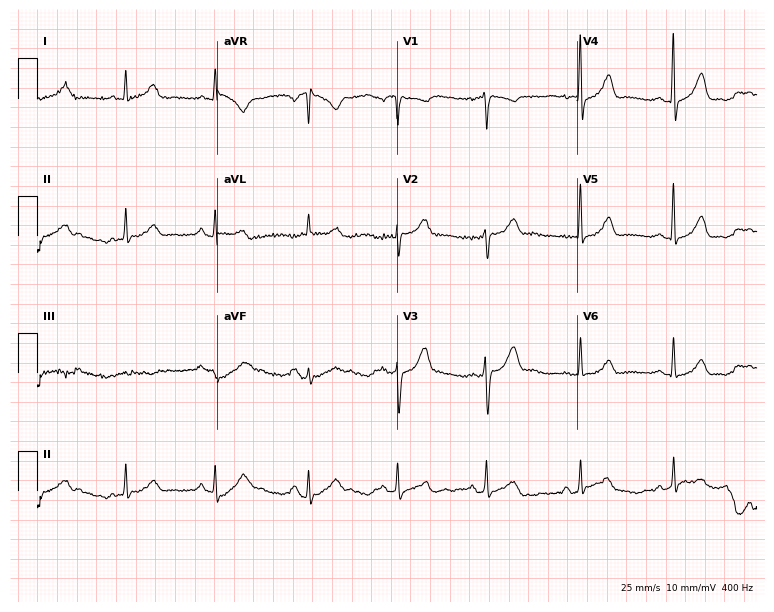
12-lead ECG from a 43-year-old female (7.3-second recording at 400 Hz). Recorded interpretation: within normal limits.